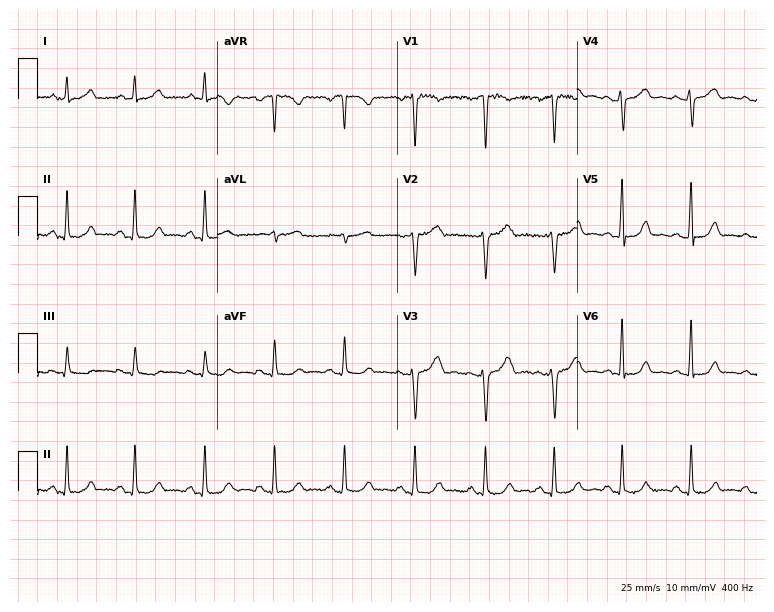
ECG — a 42-year-old female. Screened for six findings — first-degree AV block, right bundle branch block, left bundle branch block, sinus bradycardia, atrial fibrillation, sinus tachycardia — none is recorded. Other findings, if any, are not listed.